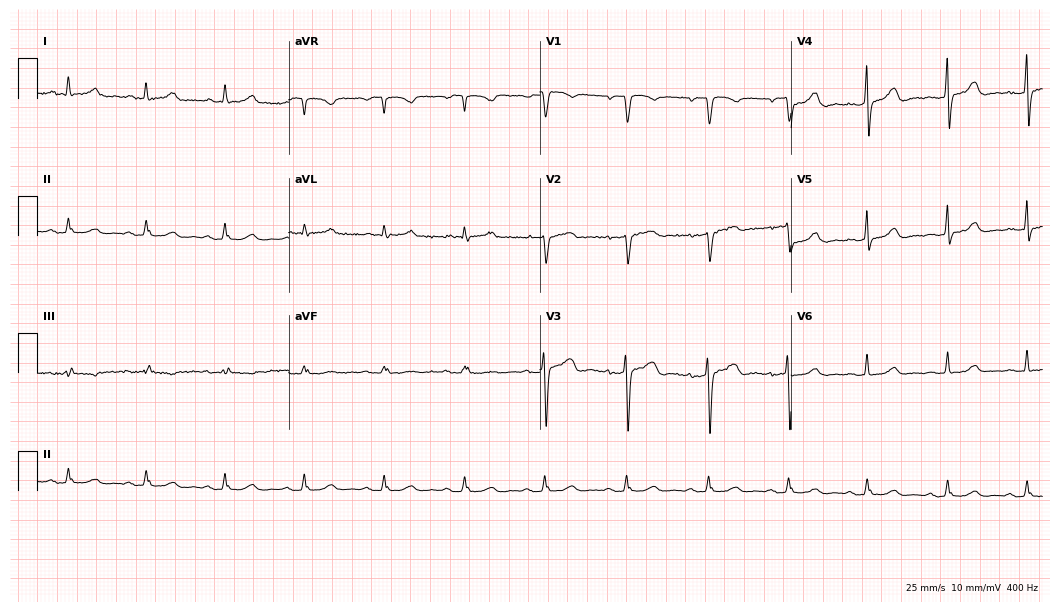
12-lead ECG from a 51-year-old woman. No first-degree AV block, right bundle branch block (RBBB), left bundle branch block (LBBB), sinus bradycardia, atrial fibrillation (AF) or sinus tachycardia recorded for this tracing. Other findings, if any, are not listed.